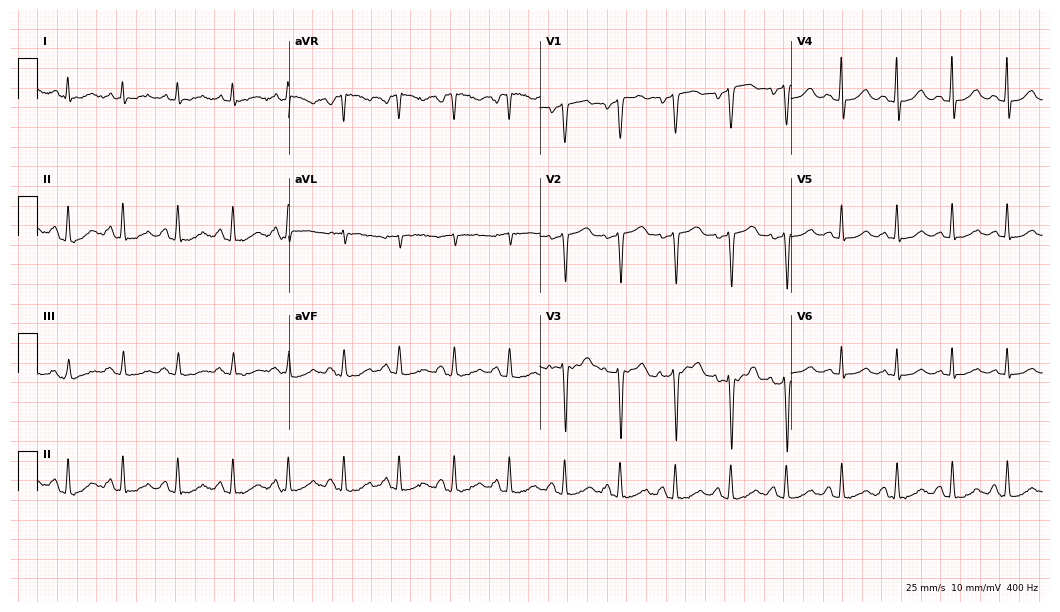
ECG (10.2-second recording at 400 Hz) — a female patient, 45 years old. Findings include sinus tachycardia (a sinus rate of 100 beats per minute or more).